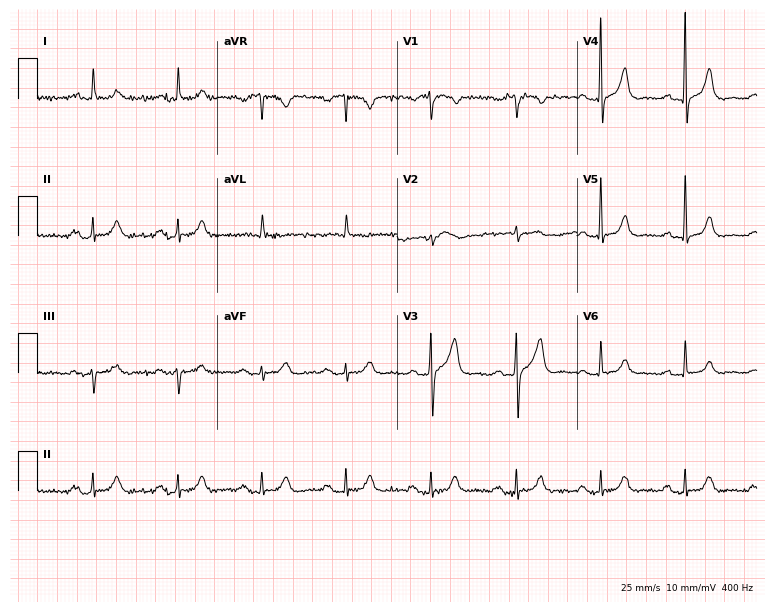
12-lead ECG from an 83-year-old man. Recorded interpretation: within normal limits.